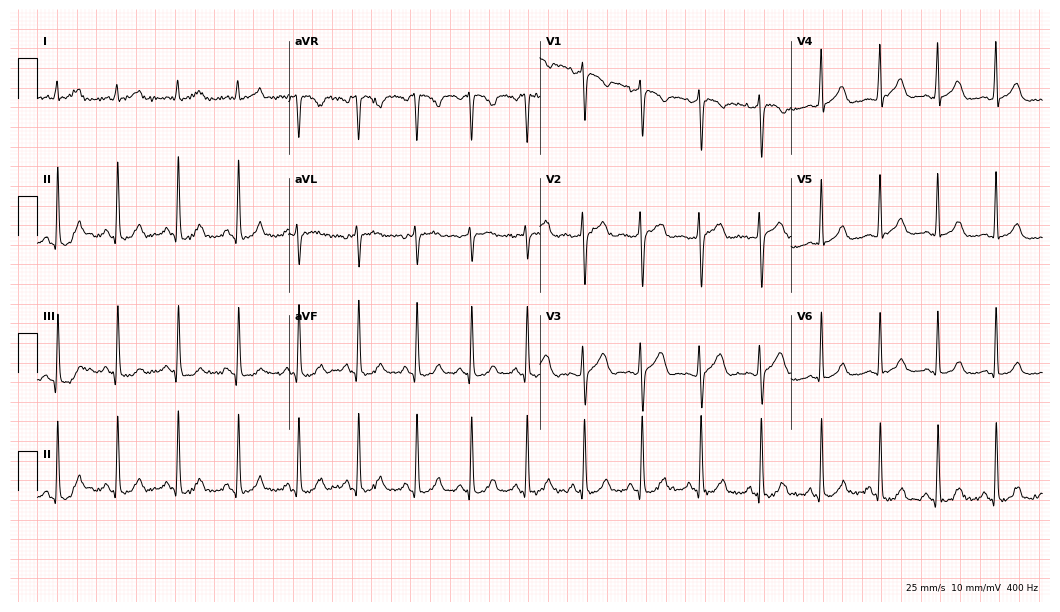
Resting 12-lead electrocardiogram (10.2-second recording at 400 Hz). Patient: a female, 32 years old. Read as a normal ECG.